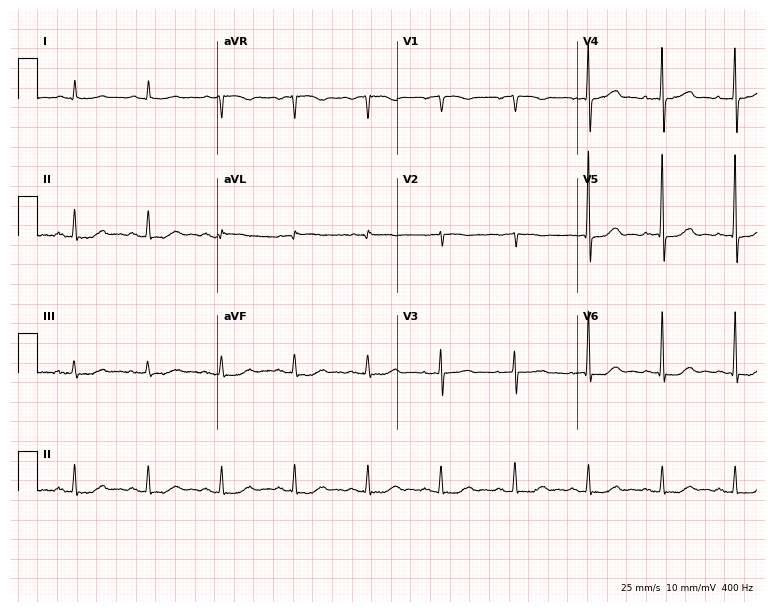
Resting 12-lead electrocardiogram. Patient: an 82-year-old man. Read as a normal ECG.